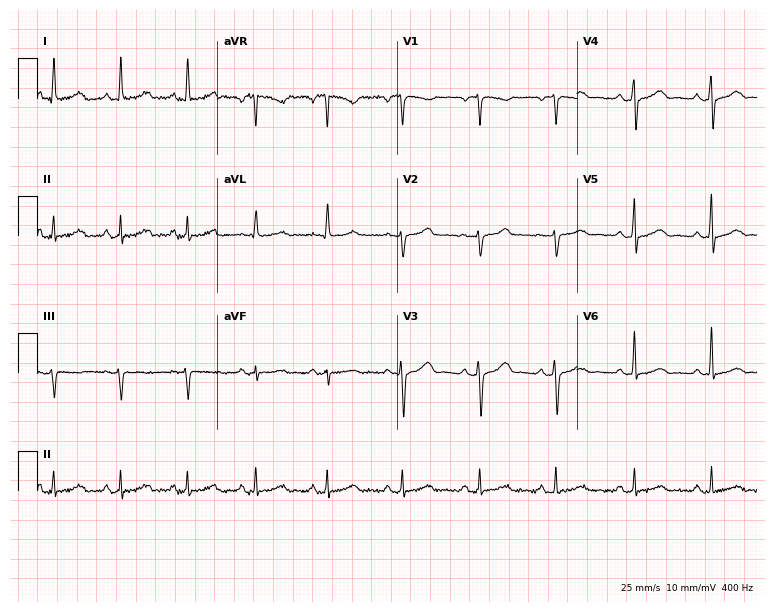
Resting 12-lead electrocardiogram (7.3-second recording at 400 Hz). Patient: a female, 47 years old. Read as a normal ECG.